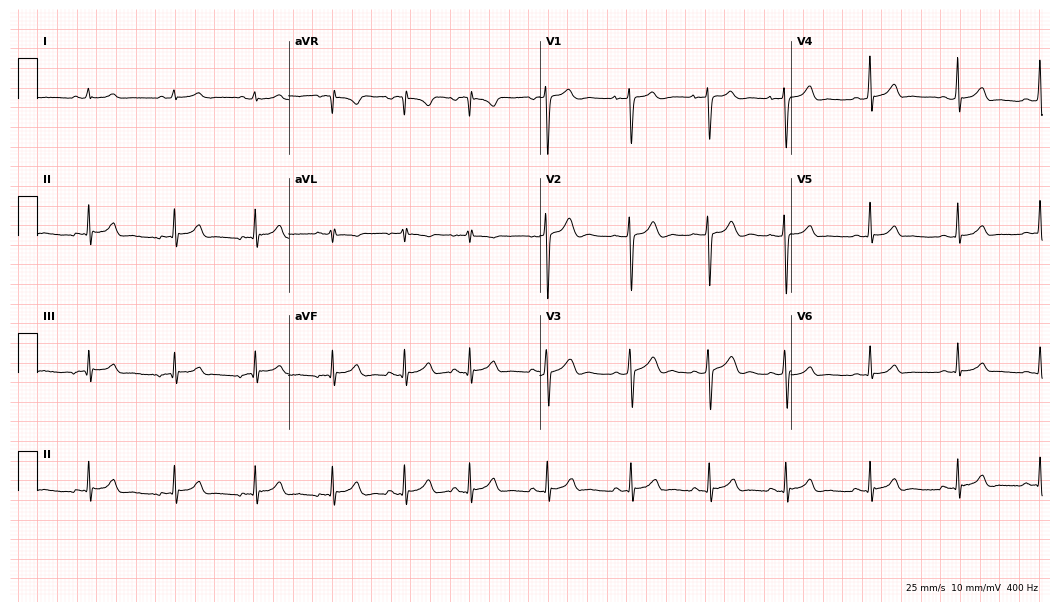
Electrocardiogram, a male, 19 years old. Of the six screened findings (first-degree AV block, right bundle branch block, left bundle branch block, sinus bradycardia, atrial fibrillation, sinus tachycardia), none is recorded.